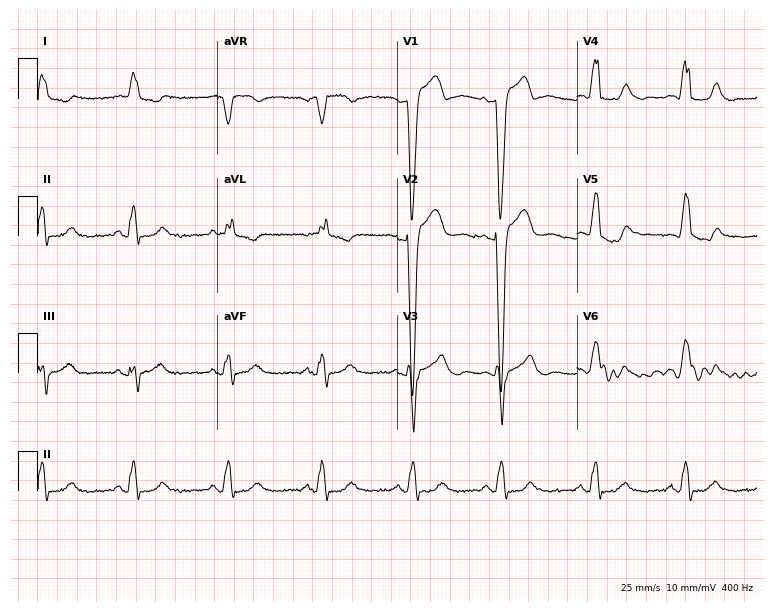
ECG (7.3-second recording at 400 Hz) — a 74-year-old female patient. Findings include left bundle branch block.